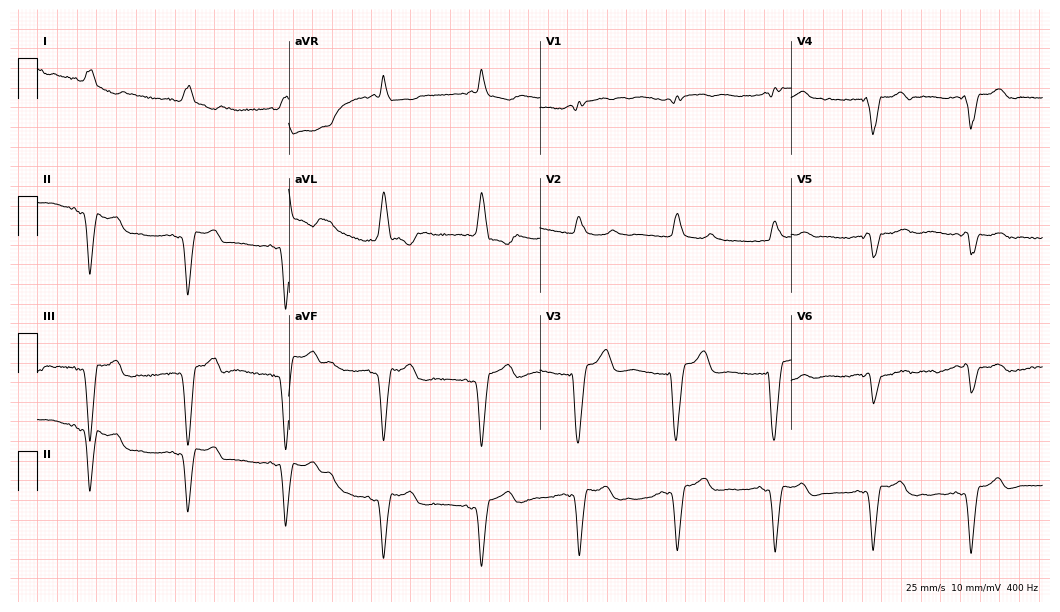
12-lead ECG (10.2-second recording at 400 Hz) from a male, 83 years old. Screened for six findings — first-degree AV block, right bundle branch block, left bundle branch block, sinus bradycardia, atrial fibrillation, sinus tachycardia — none is recorded.